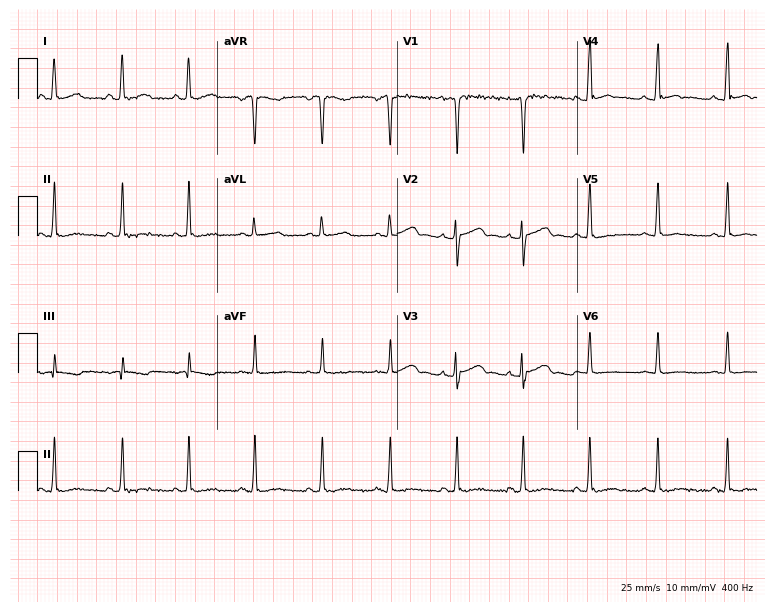
Electrocardiogram (7.3-second recording at 400 Hz), a 27-year-old woman. Of the six screened findings (first-degree AV block, right bundle branch block, left bundle branch block, sinus bradycardia, atrial fibrillation, sinus tachycardia), none is recorded. Other findings, if any, are not listed.